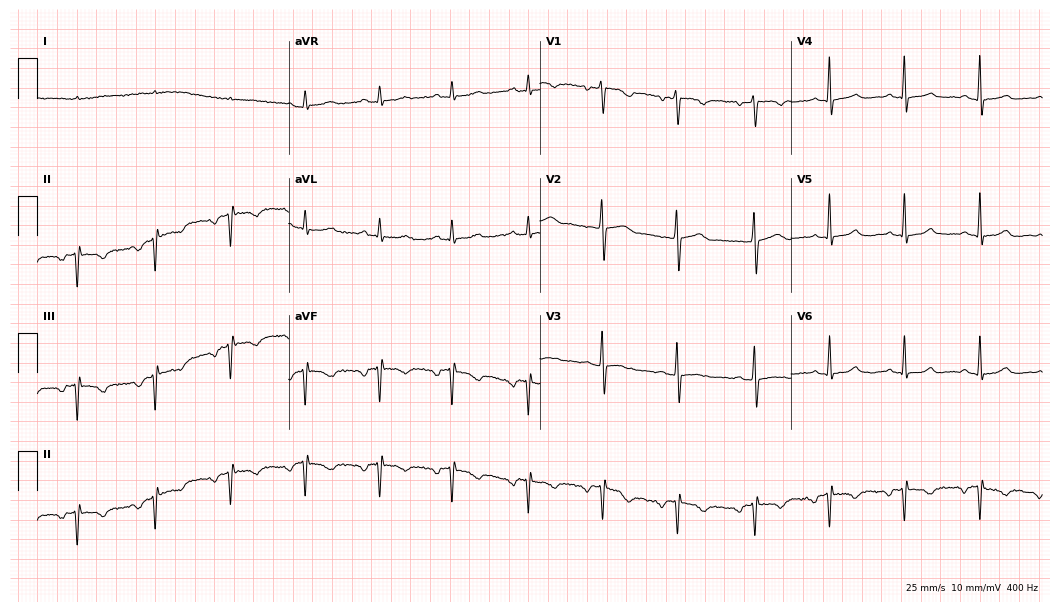
12-lead ECG from a 42-year-old female patient (10.2-second recording at 400 Hz). No first-degree AV block, right bundle branch block (RBBB), left bundle branch block (LBBB), sinus bradycardia, atrial fibrillation (AF) or sinus tachycardia recorded for this tracing.